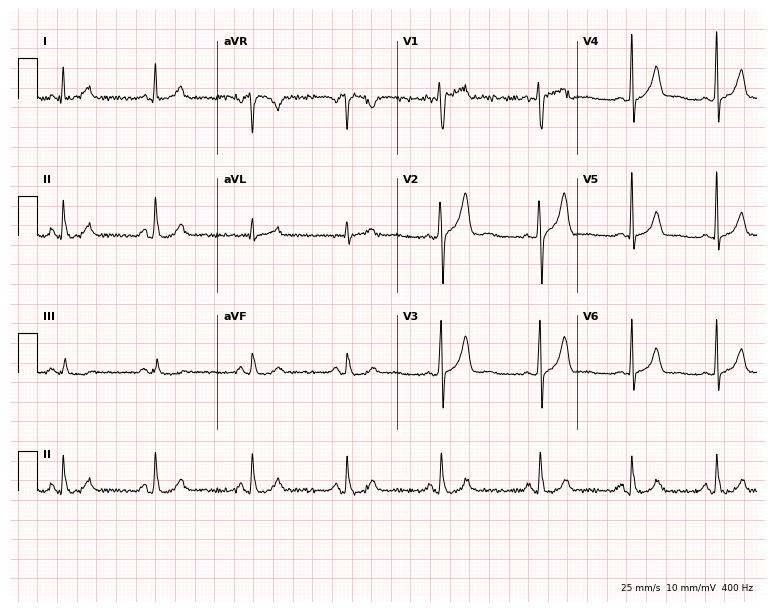
Standard 12-lead ECG recorded from a 43-year-old male. Read as a normal ECG.